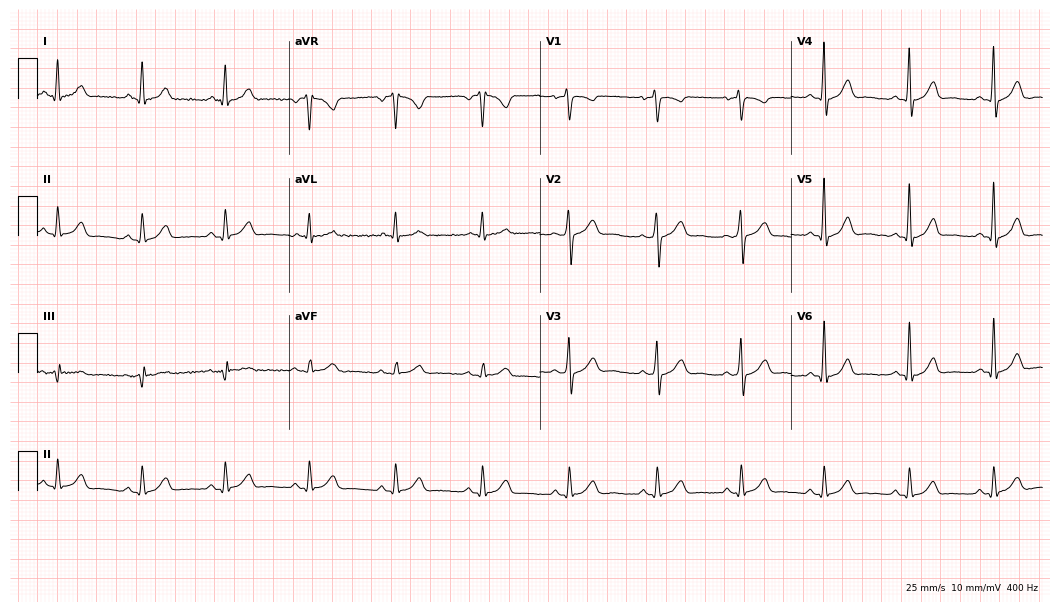
Standard 12-lead ECG recorded from a 52-year-old male. Read as a normal ECG.